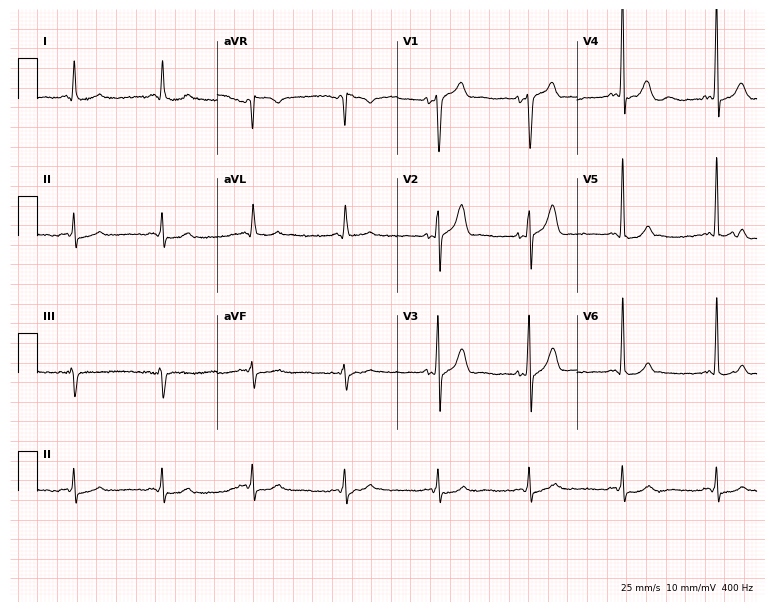
ECG — a 75-year-old male patient. Screened for six findings — first-degree AV block, right bundle branch block (RBBB), left bundle branch block (LBBB), sinus bradycardia, atrial fibrillation (AF), sinus tachycardia — none is recorded.